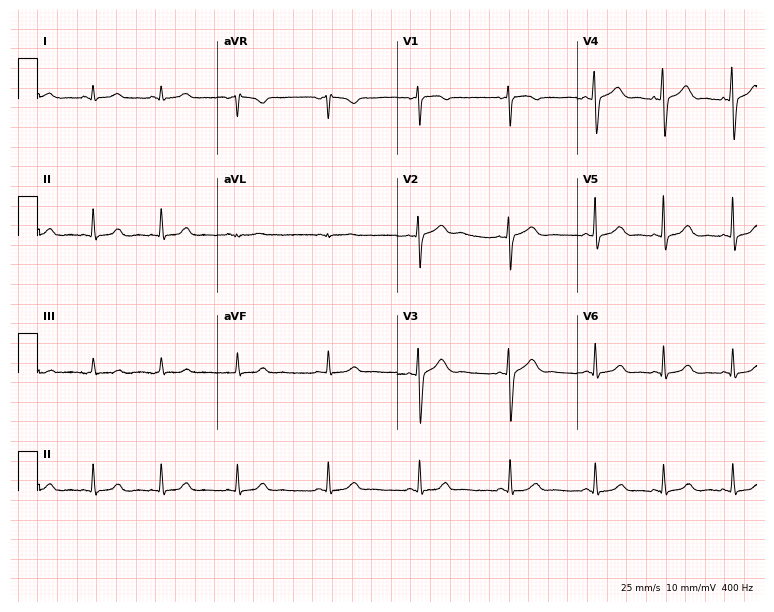
ECG (7.3-second recording at 400 Hz) — a woman, 31 years old. Labelled as a normal ECG.